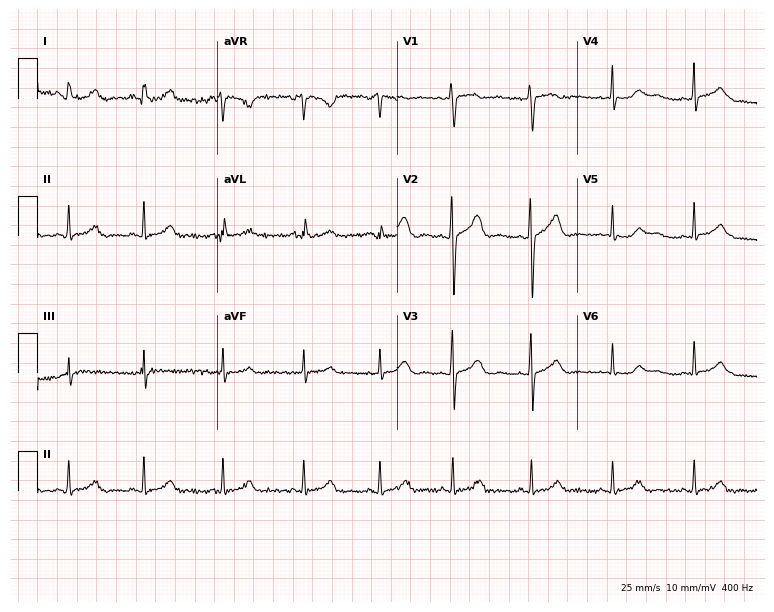
12-lead ECG from a 36-year-old female patient (7.3-second recording at 400 Hz). Recorded interpretation: within normal limits.